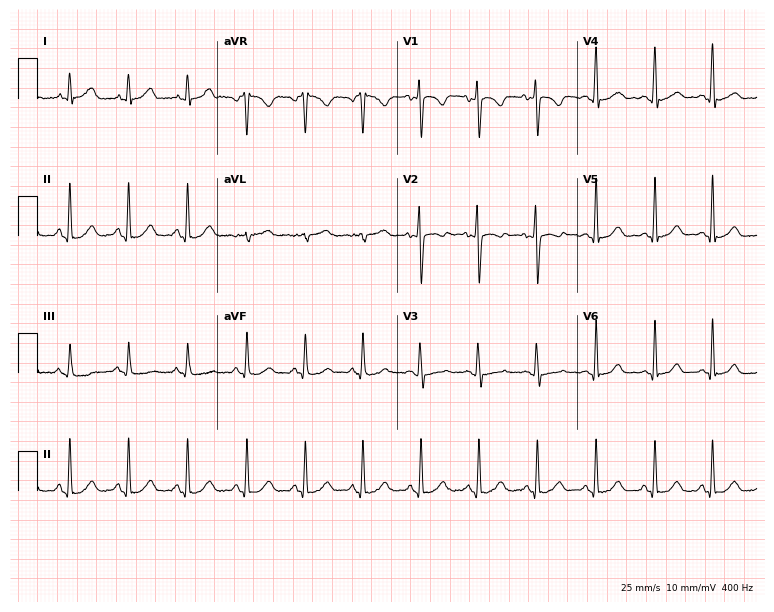
ECG — a 30-year-old female. Labelled as a normal ECG.